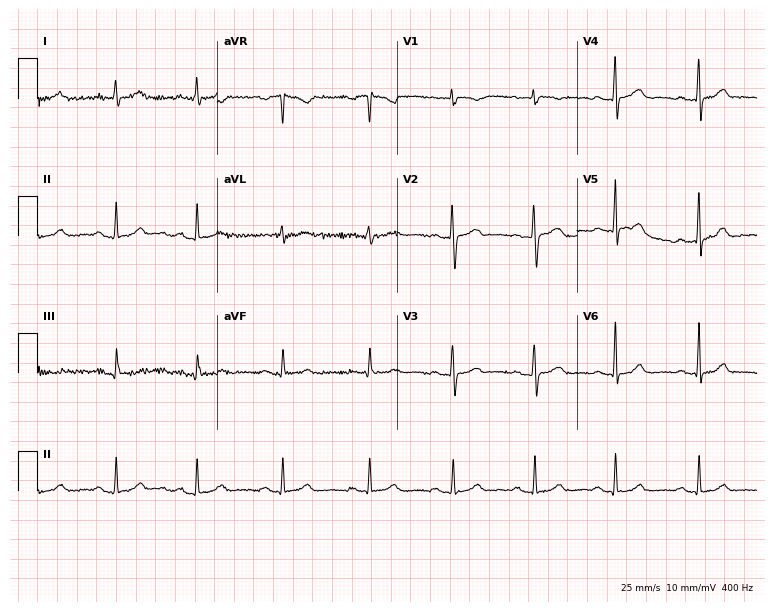
ECG (7.3-second recording at 400 Hz) — a 53-year-old female. Screened for six findings — first-degree AV block, right bundle branch block, left bundle branch block, sinus bradycardia, atrial fibrillation, sinus tachycardia — none is recorded. Findings outside these six are not listed.